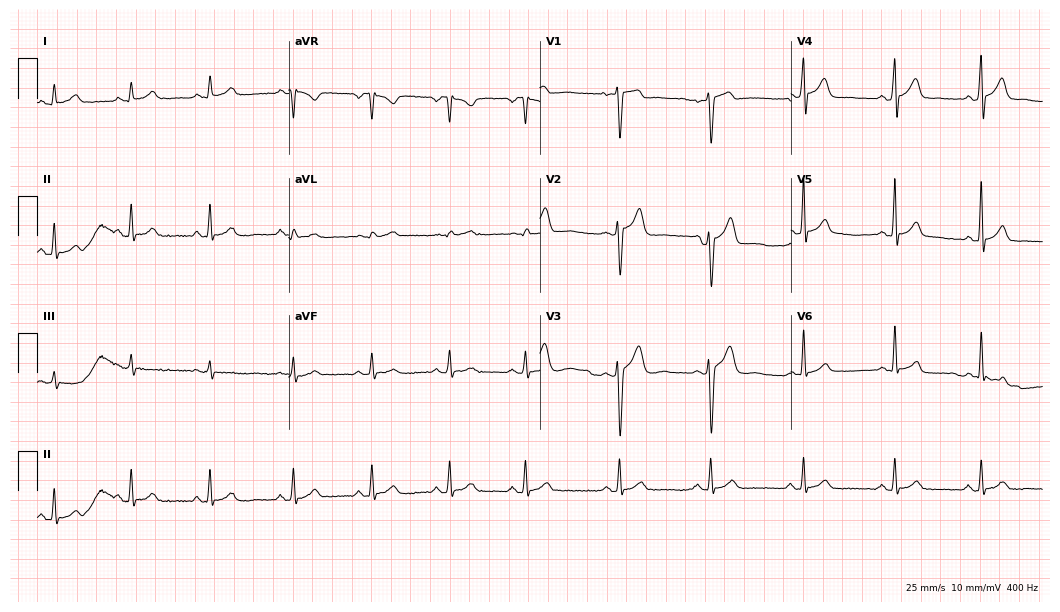
Electrocardiogram (10.2-second recording at 400 Hz), a 21-year-old male. Overall reading on record: normal ECG.